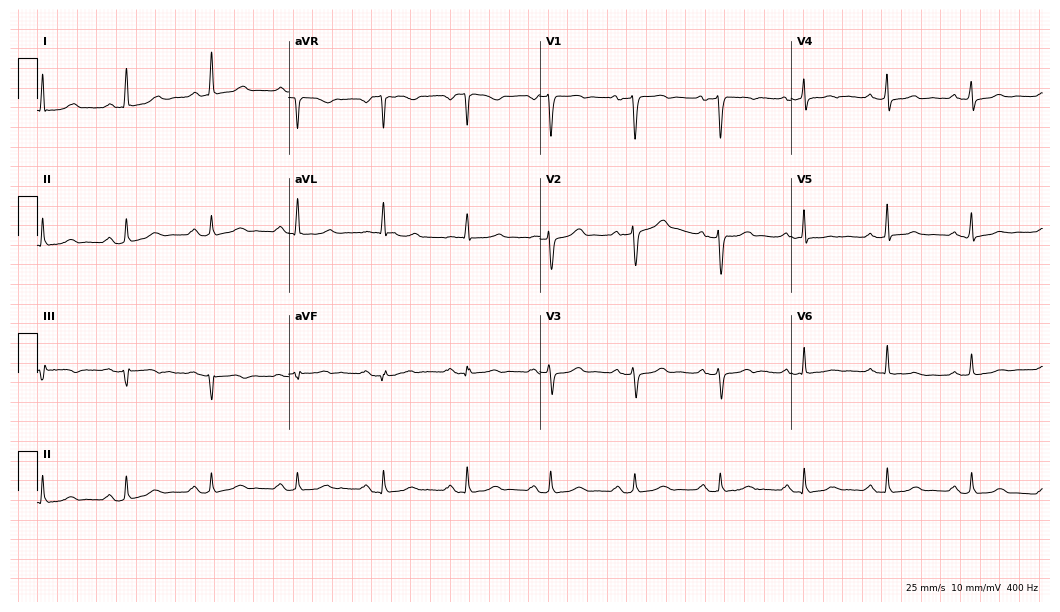
ECG (10.2-second recording at 400 Hz) — a woman, 68 years old. Labelled as a normal ECG.